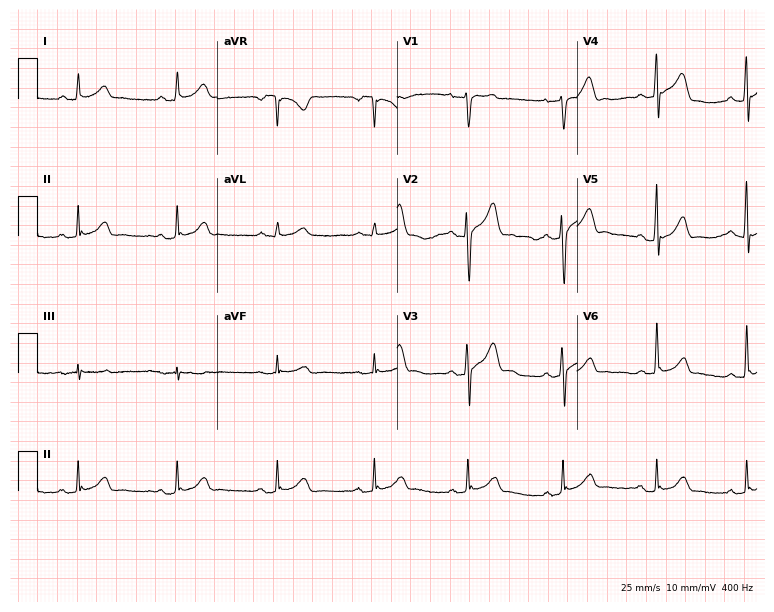
ECG (7.3-second recording at 400 Hz) — a 25-year-old man. Labelled as a normal ECG.